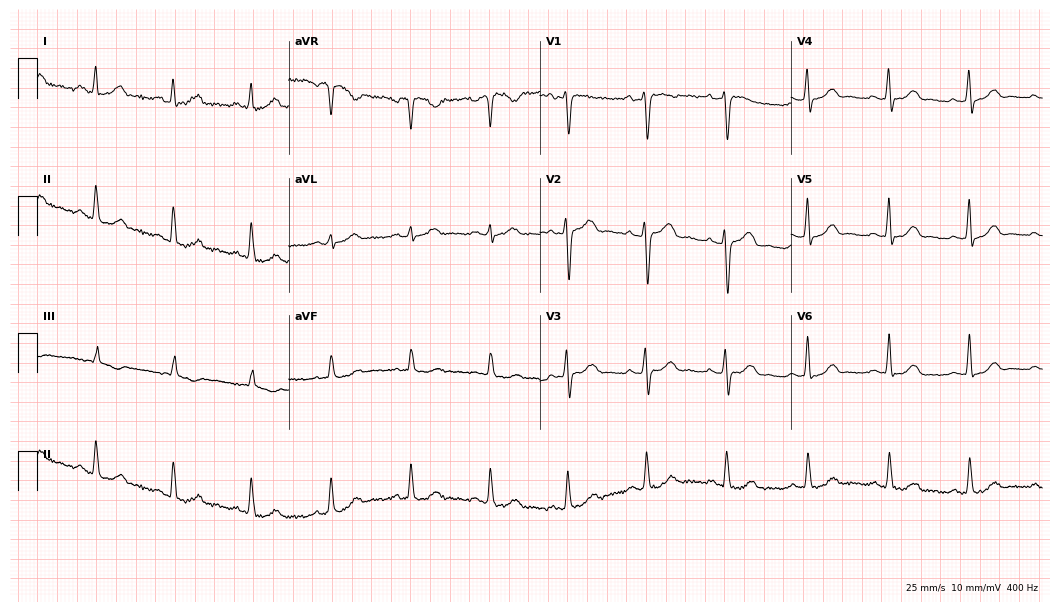
Standard 12-lead ECG recorded from a 45-year-old female. Read as a normal ECG.